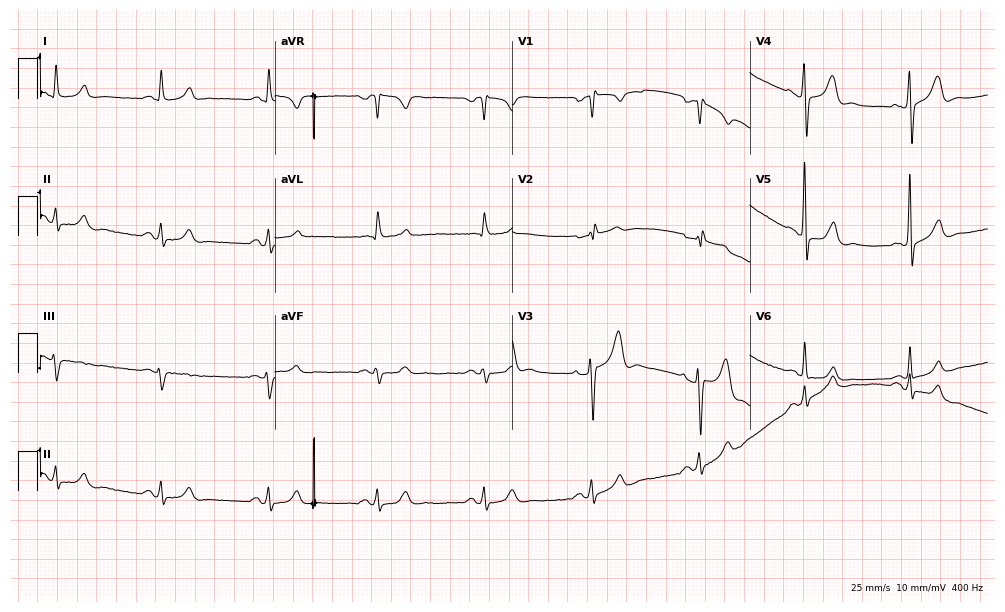
Resting 12-lead electrocardiogram (9.7-second recording at 400 Hz). Patient: a male, 62 years old. None of these six findings is recorded: first-degree AV block, right bundle branch block (RBBB), left bundle branch block (LBBB), sinus bradycardia, atrial fibrillation (AF), sinus tachycardia.